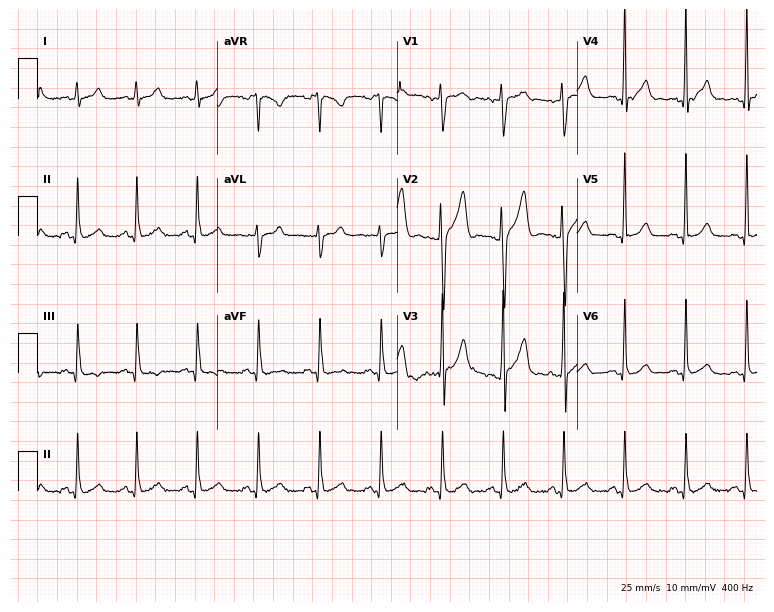
ECG — a 26-year-old male patient. Screened for six findings — first-degree AV block, right bundle branch block, left bundle branch block, sinus bradycardia, atrial fibrillation, sinus tachycardia — none is recorded. Findings outside these six are not listed.